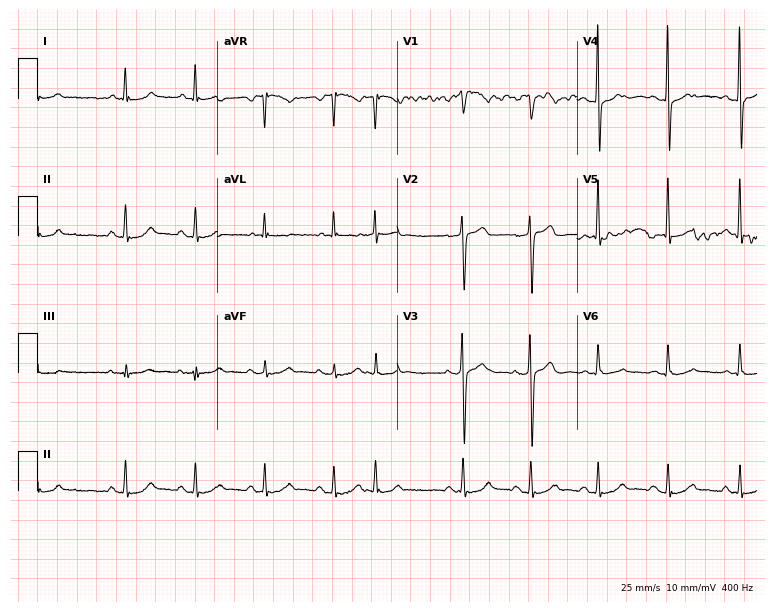
Resting 12-lead electrocardiogram (7.3-second recording at 400 Hz). Patient: a 62-year-old male. None of these six findings is recorded: first-degree AV block, right bundle branch block (RBBB), left bundle branch block (LBBB), sinus bradycardia, atrial fibrillation (AF), sinus tachycardia. Other findings, if any, are not listed.